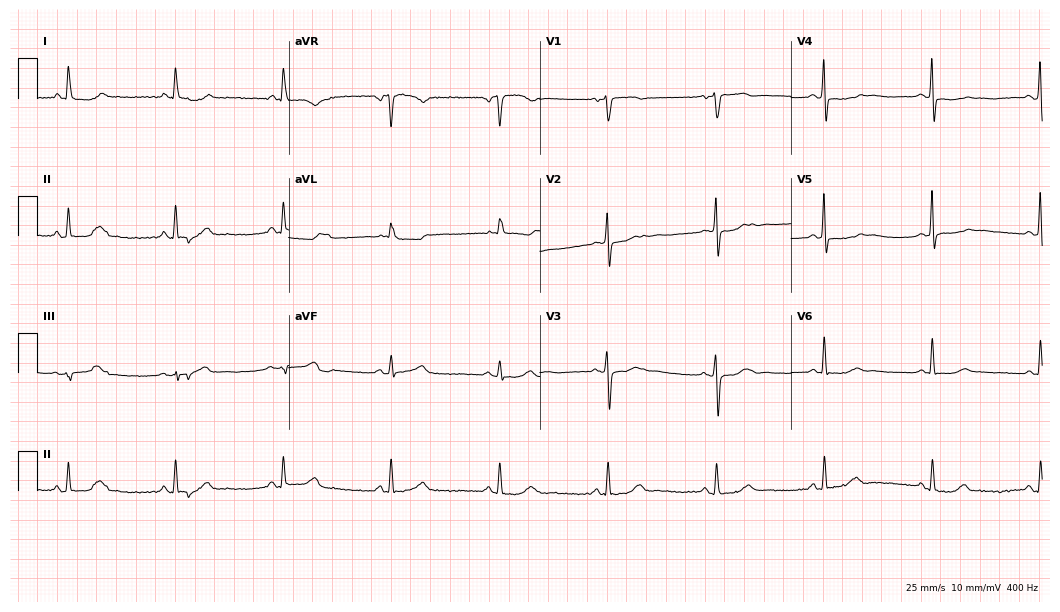
Standard 12-lead ECG recorded from a 69-year-old female. None of these six findings is recorded: first-degree AV block, right bundle branch block (RBBB), left bundle branch block (LBBB), sinus bradycardia, atrial fibrillation (AF), sinus tachycardia.